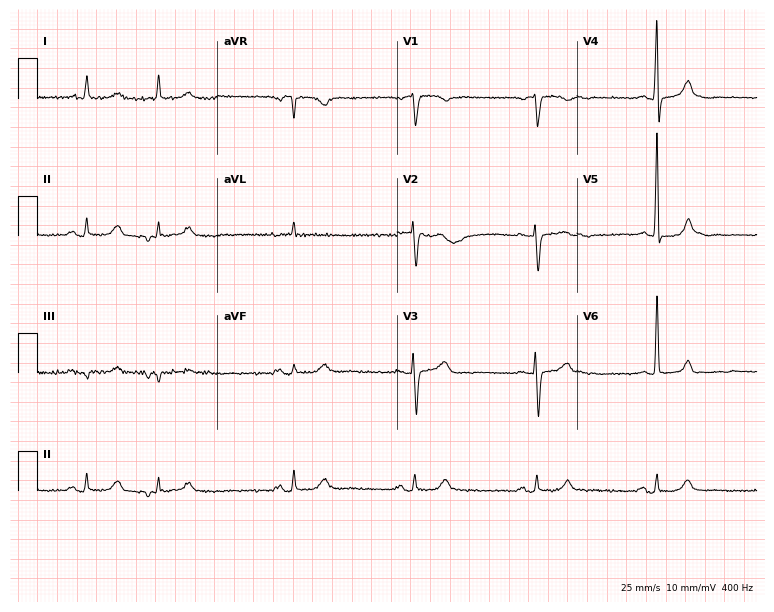
12-lead ECG from a man, 81 years old. No first-degree AV block, right bundle branch block (RBBB), left bundle branch block (LBBB), sinus bradycardia, atrial fibrillation (AF) or sinus tachycardia recorded for this tracing.